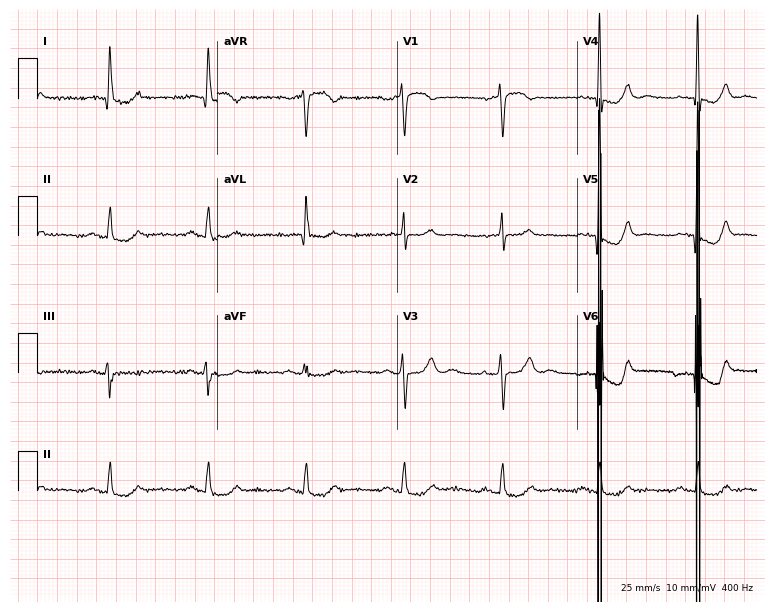
Resting 12-lead electrocardiogram (7.3-second recording at 400 Hz). Patient: an 81-year-old female. None of these six findings is recorded: first-degree AV block, right bundle branch block, left bundle branch block, sinus bradycardia, atrial fibrillation, sinus tachycardia. Other findings, if any, are not listed.